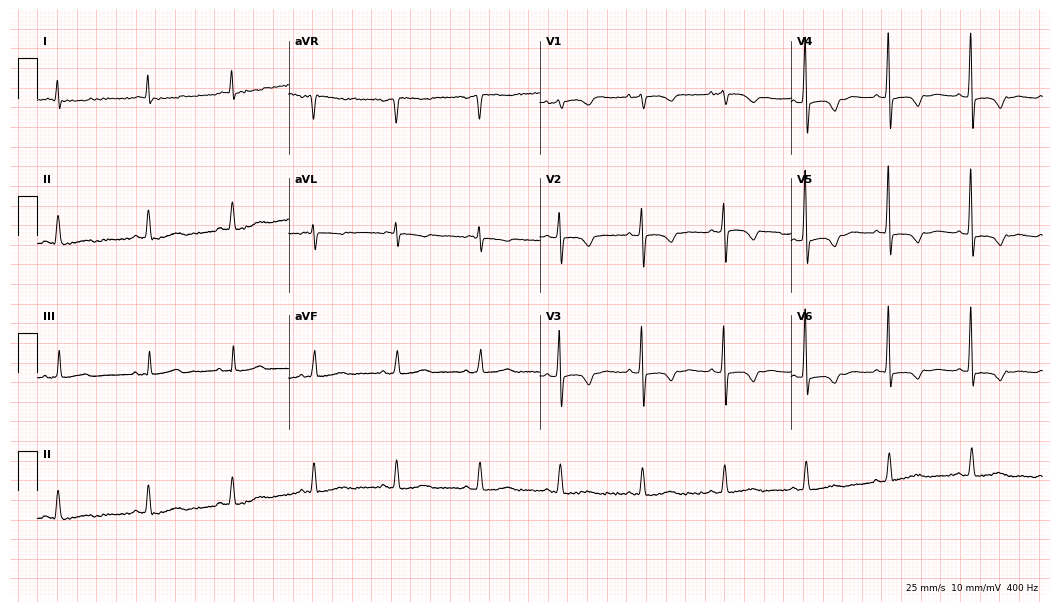
Electrocardiogram (10.2-second recording at 400 Hz), a male patient, 25 years old. Of the six screened findings (first-degree AV block, right bundle branch block (RBBB), left bundle branch block (LBBB), sinus bradycardia, atrial fibrillation (AF), sinus tachycardia), none is recorded. Only these six findings were labelled.